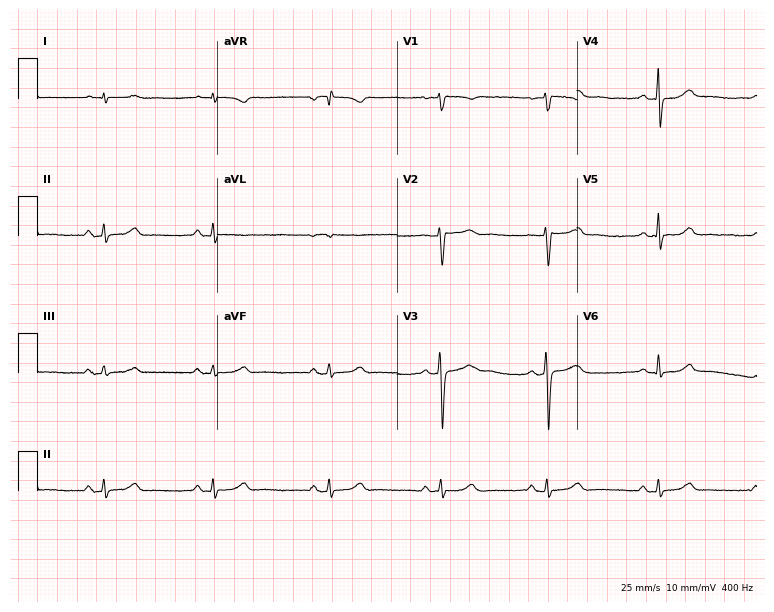
12-lead ECG from a 39-year-old female. Screened for six findings — first-degree AV block, right bundle branch block, left bundle branch block, sinus bradycardia, atrial fibrillation, sinus tachycardia — none is recorded.